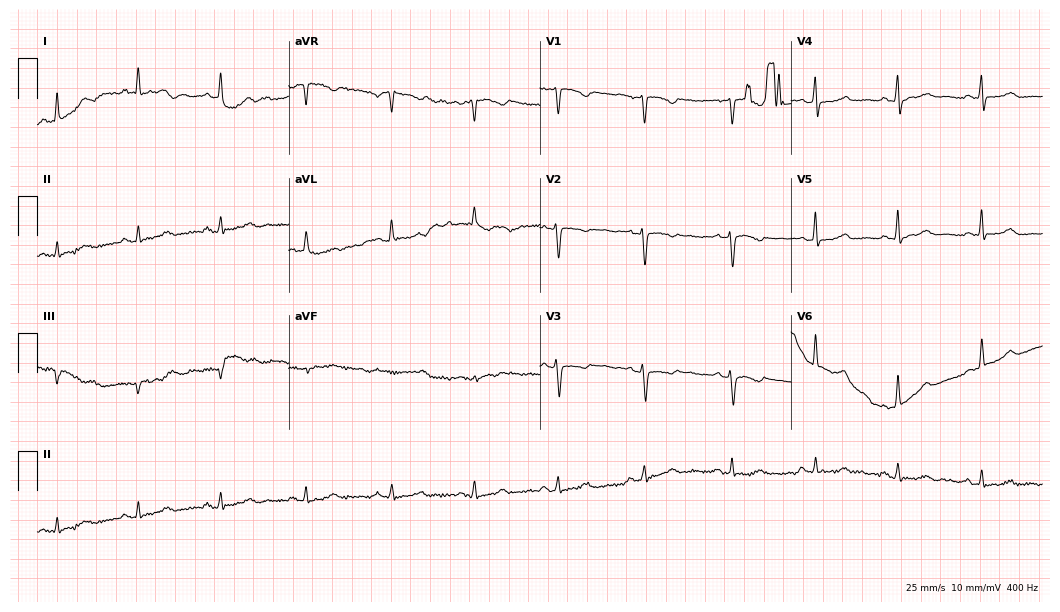
ECG — a 65-year-old female patient. Screened for six findings — first-degree AV block, right bundle branch block, left bundle branch block, sinus bradycardia, atrial fibrillation, sinus tachycardia — none is recorded.